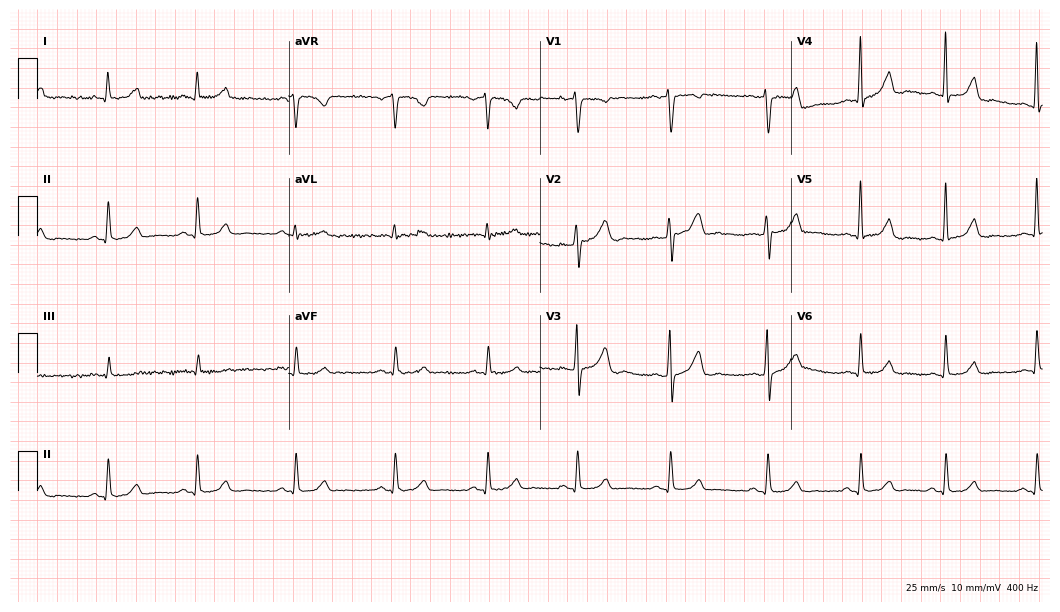
12-lead ECG from a woman, 33 years old. Labelled as a normal ECG.